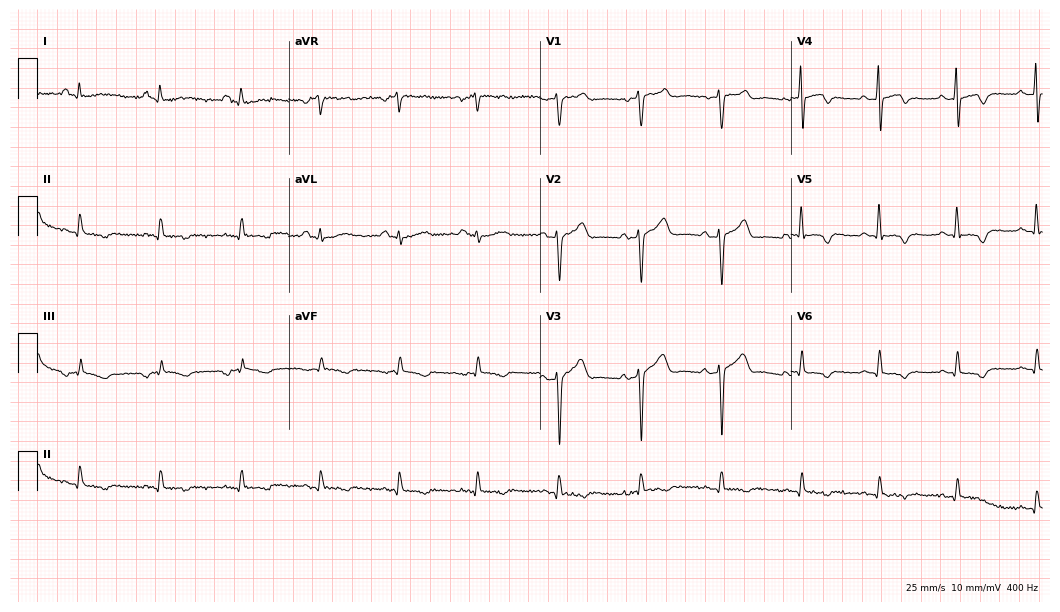
Electrocardiogram (10.2-second recording at 400 Hz), a male patient, 39 years old. Of the six screened findings (first-degree AV block, right bundle branch block (RBBB), left bundle branch block (LBBB), sinus bradycardia, atrial fibrillation (AF), sinus tachycardia), none is recorded.